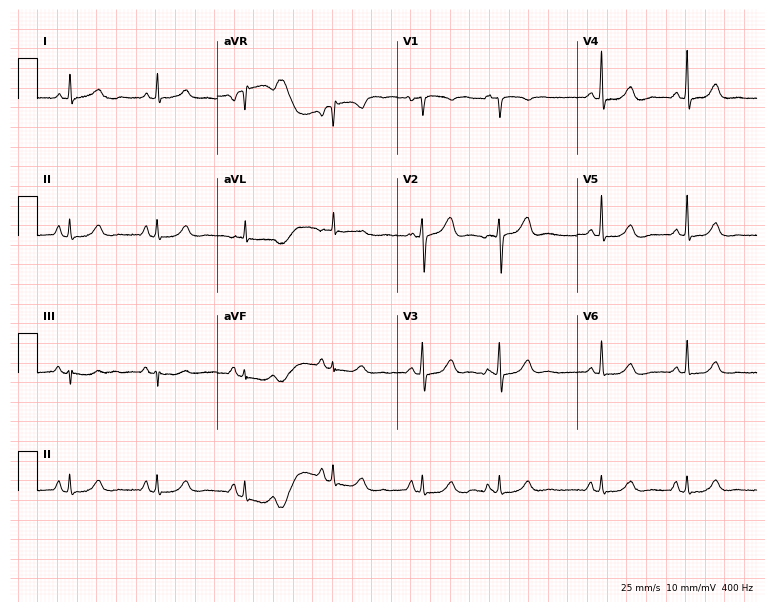
Resting 12-lead electrocardiogram. Patient: a 71-year-old woman. None of these six findings is recorded: first-degree AV block, right bundle branch block (RBBB), left bundle branch block (LBBB), sinus bradycardia, atrial fibrillation (AF), sinus tachycardia. Only these six findings were labelled.